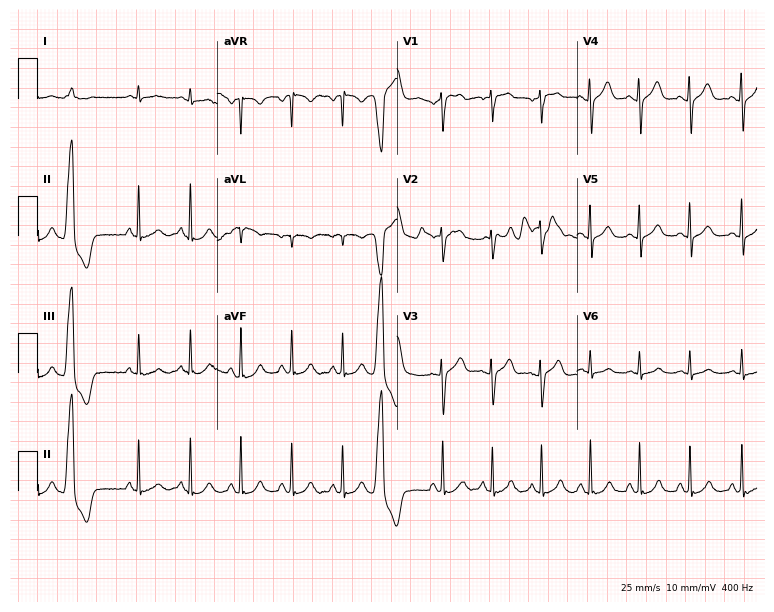
12-lead ECG from a 62-year-old male. Shows sinus tachycardia (a sinus rate of 100 beats per minute or more).